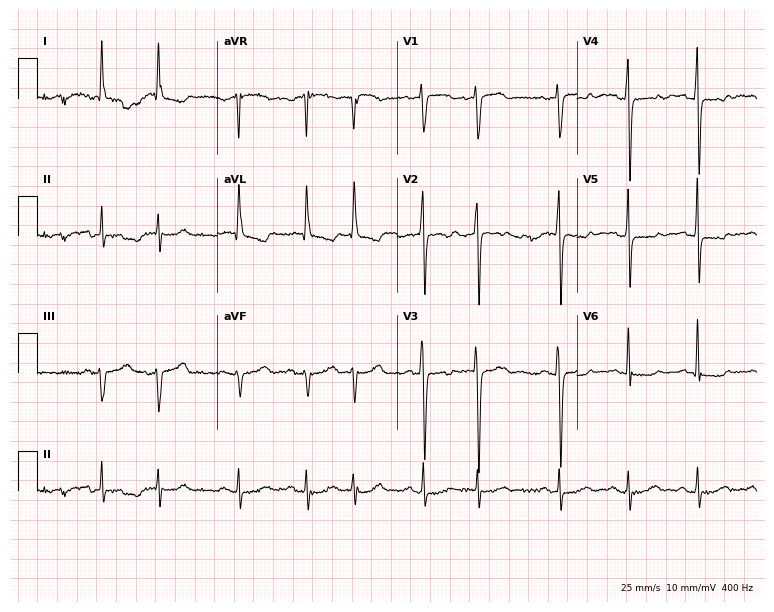
ECG (7.3-second recording at 400 Hz) — a 70-year-old female. Screened for six findings — first-degree AV block, right bundle branch block (RBBB), left bundle branch block (LBBB), sinus bradycardia, atrial fibrillation (AF), sinus tachycardia — none is recorded.